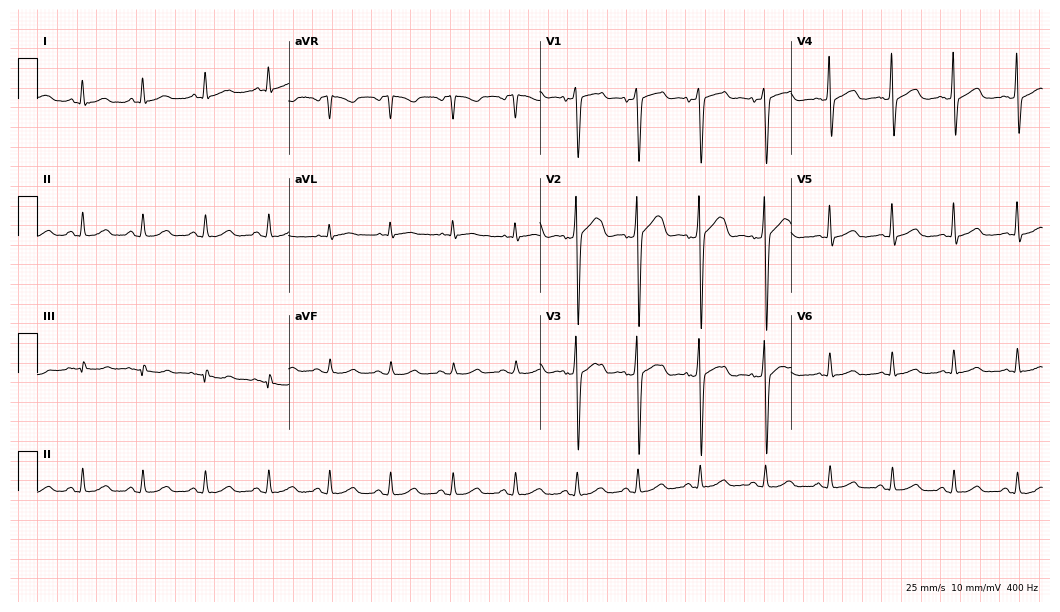
ECG — a 43-year-old man. Screened for six findings — first-degree AV block, right bundle branch block, left bundle branch block, sinus bradycardia, atrial fibrillation, sinus tachycardia — none is recorded.